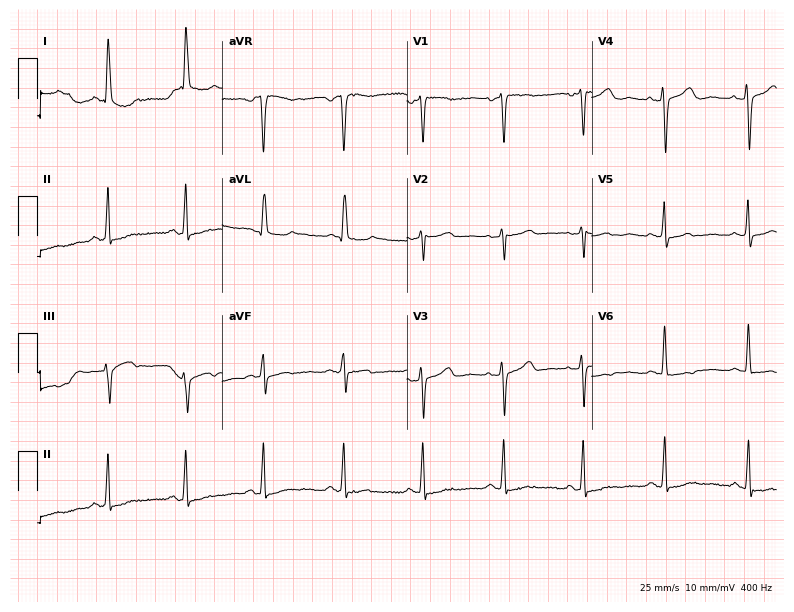
Electrocardiogram (7.5-second recording at 400 Hz), a woman, 39 years old. Of the six screened findings (first-degree AV block, right bundle branch block, left bundle branch block, sinus bradycardia, atrial fibrillation, sinus tachycardia), none is recorded.